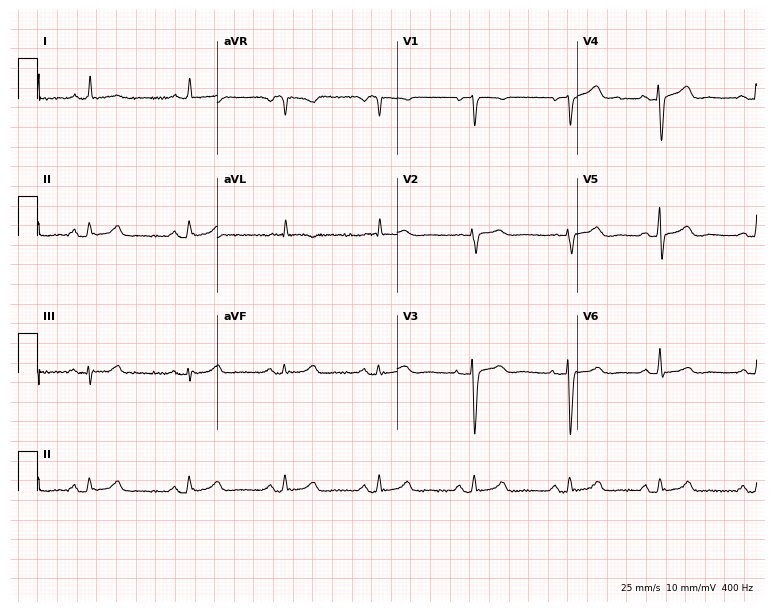
Resting 12-lead electrocardiogram (7.3-second recording at 400 Hz). Patient: a female, 70 years old. Read as a normal ECG.